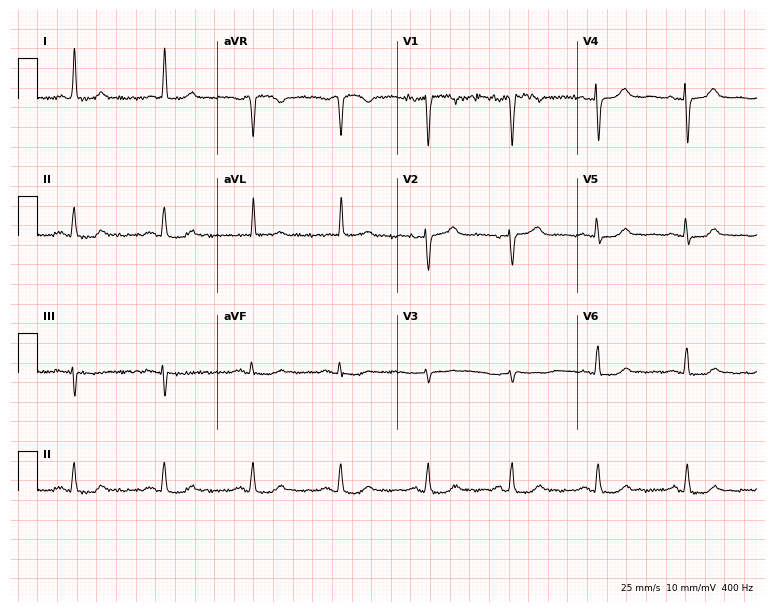
Standard 12-lead ECG recorded from a female, 68 years old. None of these six findings is recorded: first-degree AV block, right bundle branch block, left bundle branch block, sinus bradycardia, atrial fibrillation, sinus tachycardia.